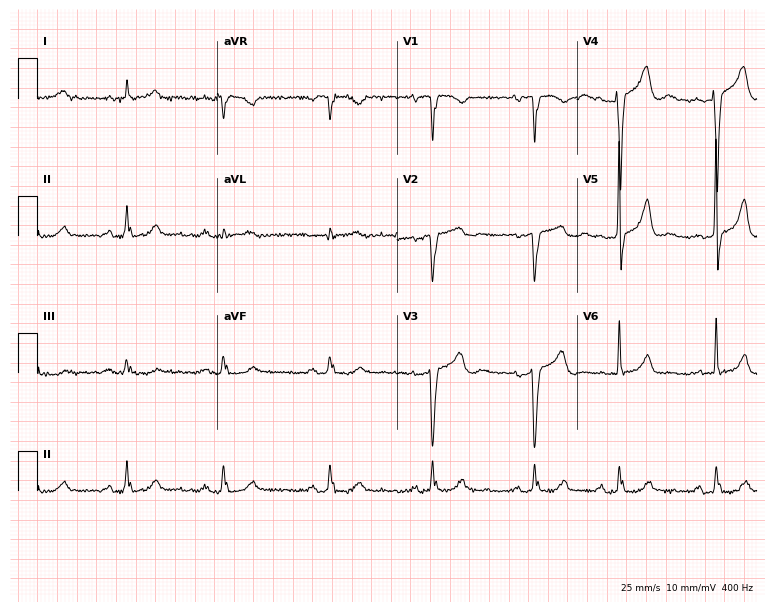
Electrocardiogram (7.3-second recording at 400 Hz), a 70-year-old male patient. Of the six screened findings (first-degree AV block, right bundle branch block, left bundle branch block, sinus bradycardia, atrial fibrillation, sinus tachycardia), none is recorded. Findings outside these six are not listed.